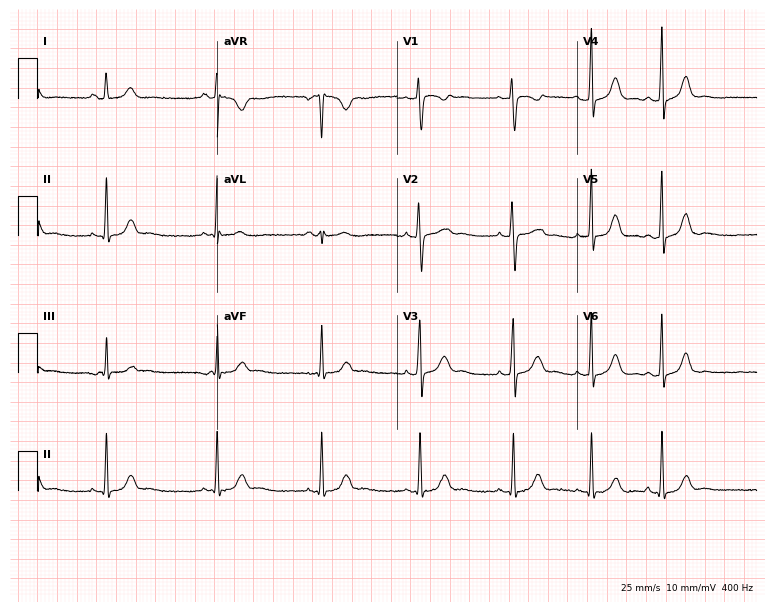
Electrocardiogram (7.3-second recording at 400 Hz), a woman, 18 years old. Overall reading on record: normal ECG.